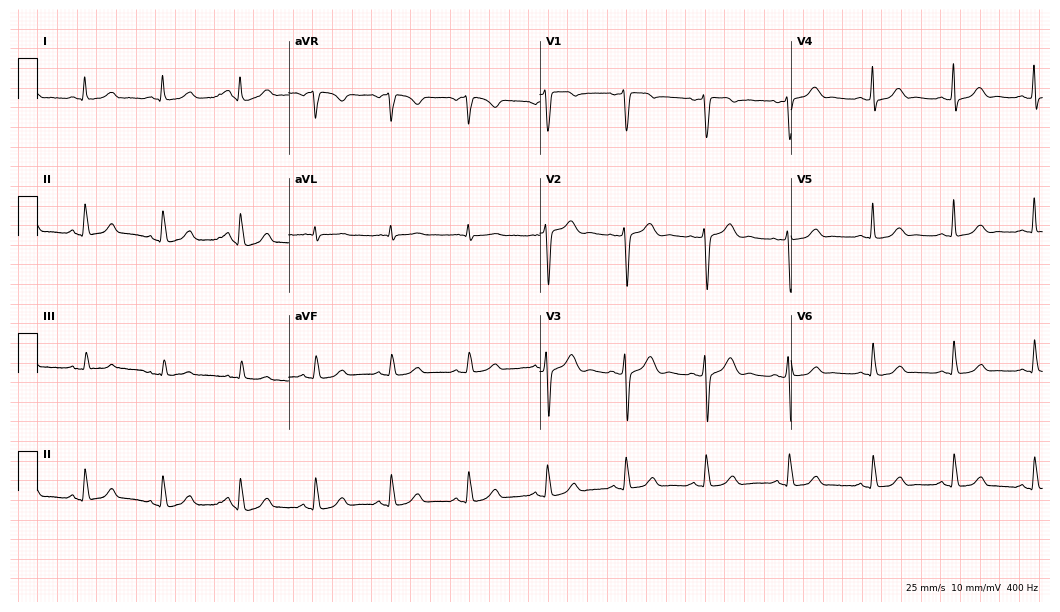
Resting 12-lead electrocardiogram (10.2-second recording at 400 Hz). Patient: a 48-year-old woman. Read as a normal ECG.